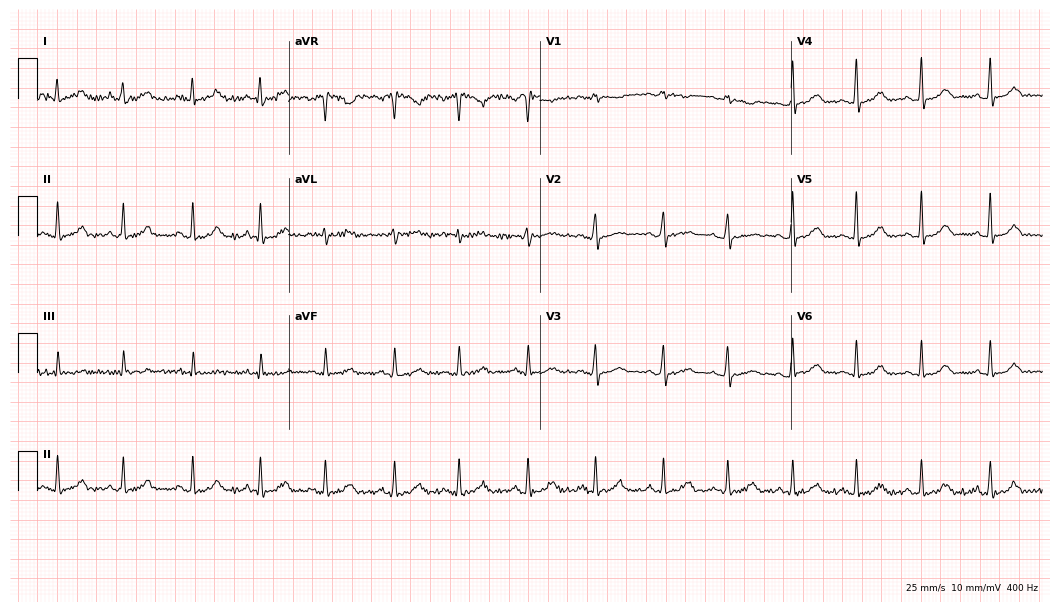
Electrocardiogram, a 45-year-old woman. Of the six screened findings (first-degree AV block, right bundle branch block (RBBB), left bundle branch block (LBBB), sinus bradycardia, atrial fibrillation (AF), sinus tachycardia), none is recorded. Only these six findings were labelled.